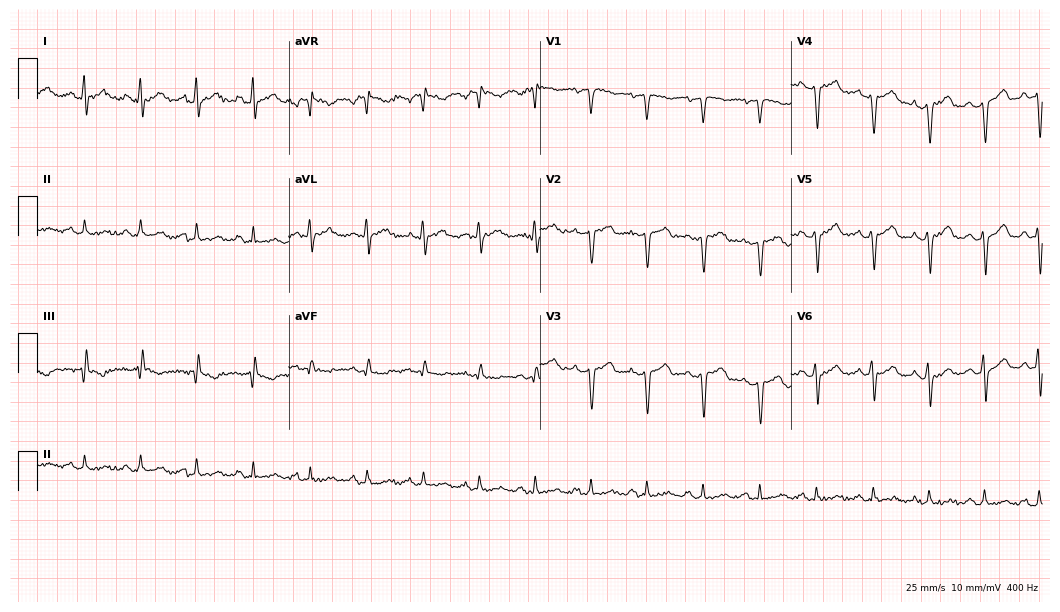
Electrocardiogram (10.2-second recording at 400 Hz), a 56-year-old male patient. Interpretation includes sinus tachycardia (a sinus rate of 100 beats per minute or more).